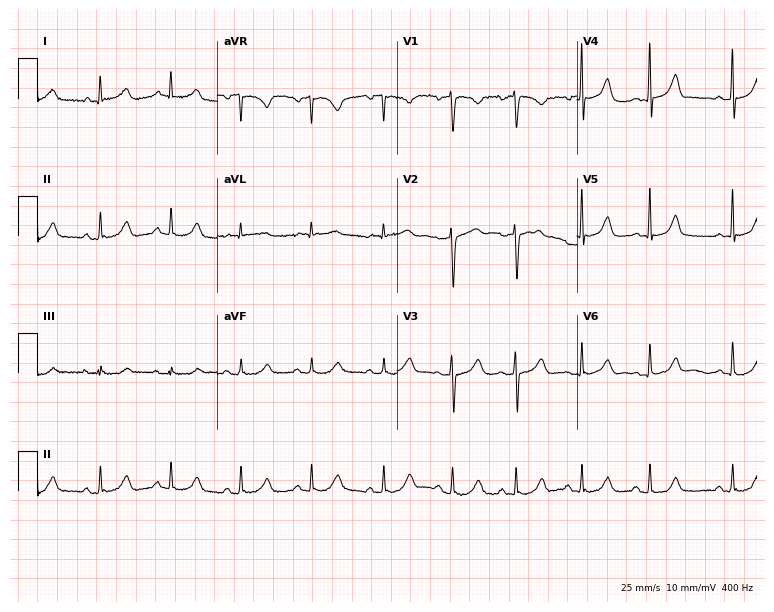
Electrocardiogram, a 58-year-old female patient. Overall reading on record: normal ECG.